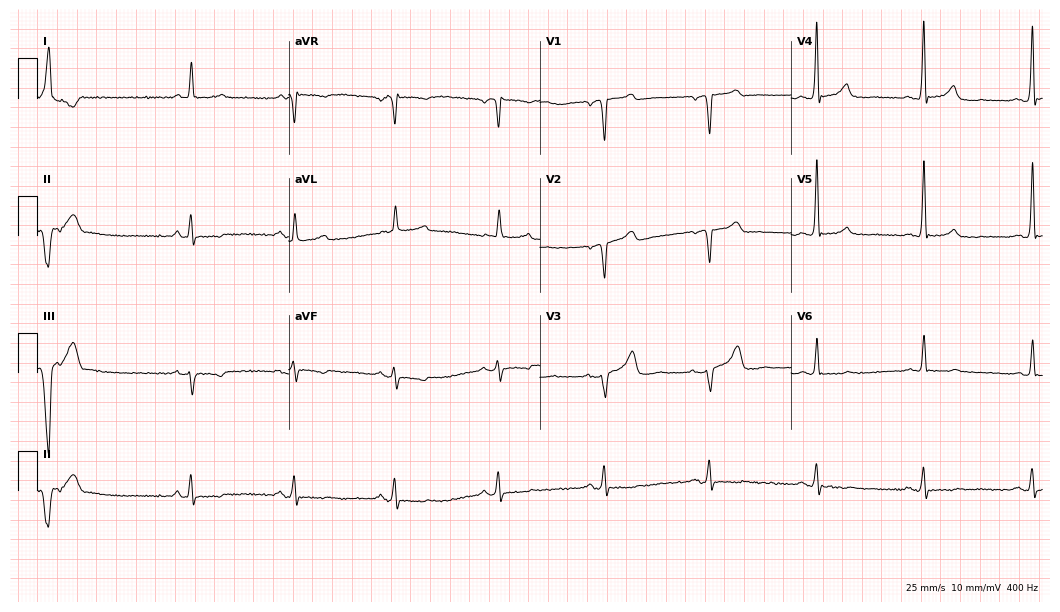
Standard 12-lead ECG recorded from a male, 68 years old. None of these six findings is recorded: first-degree AV block, right bundle branch block, left bundle branch block, sinus bradycardia, atrial fibrillation, sinus tachycardia.